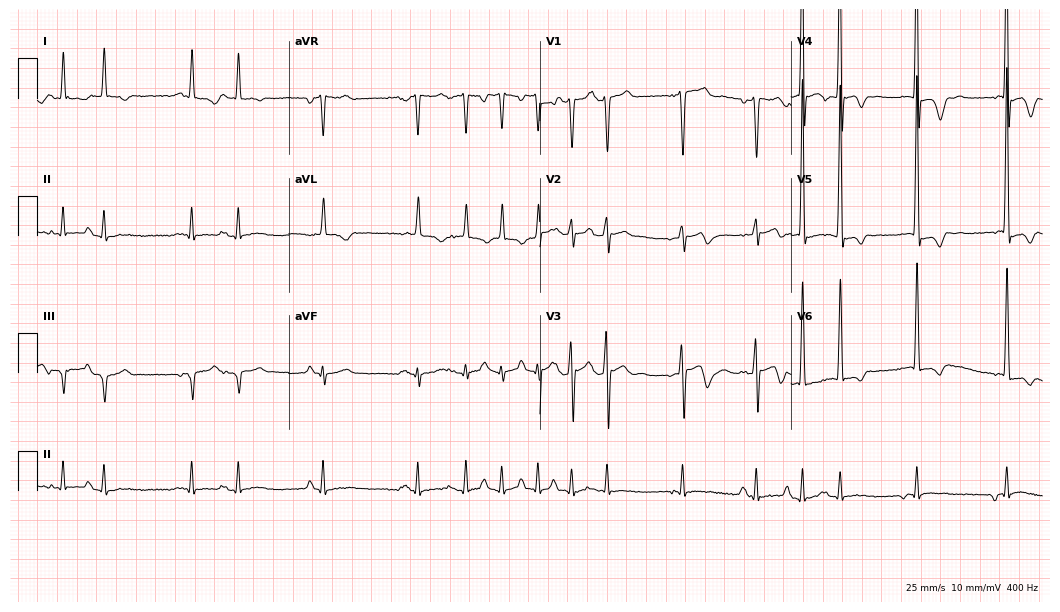
Electrocardiogram (10.2-second recording at 400 Hz), an 81-year-old male patient. Interpretation includes atrial fibrillation (AF).